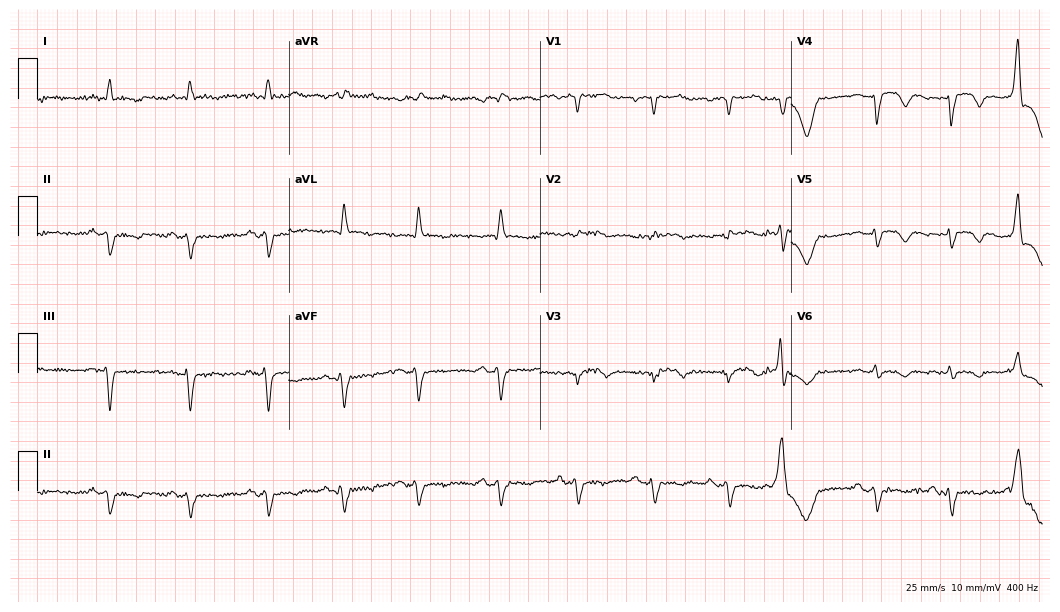
12-lead ECG from a 56-year-old female patient. No first-degree AV block, right bundle branch block, left bundle branch block, sinus bradycardia, atrial fibrillation or sinus tachycardia recorded for this tracing.